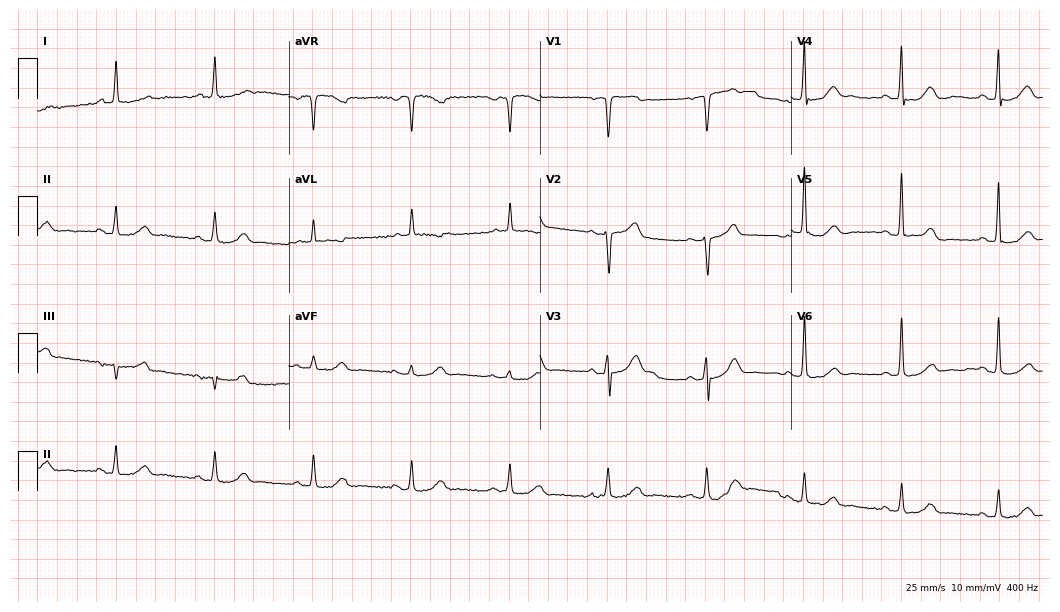
Electrocardiogram (10.2-second recording at 400 Hz), a man, 74 years old. Overall reading on record: normal ECG.